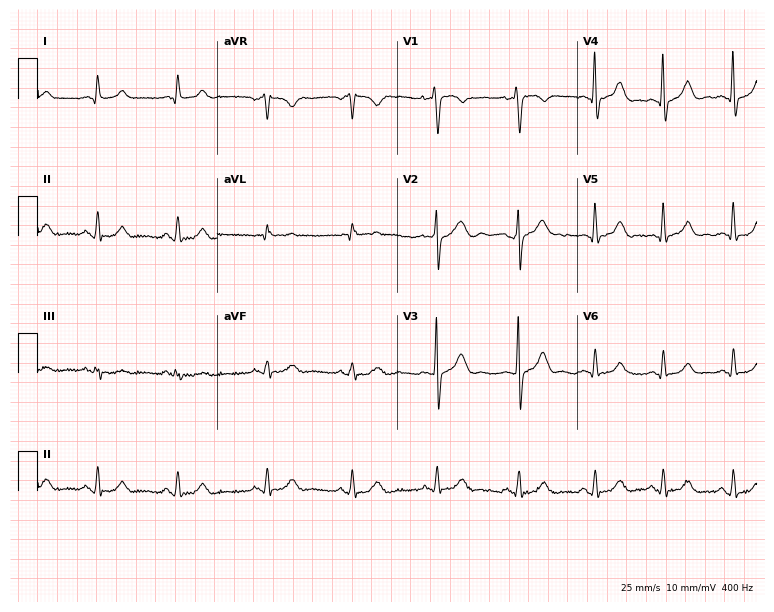
12-lead ECG (7.3-second recording at 400 Hz) from a male, 46 years old. Labelled as a normal ECG.